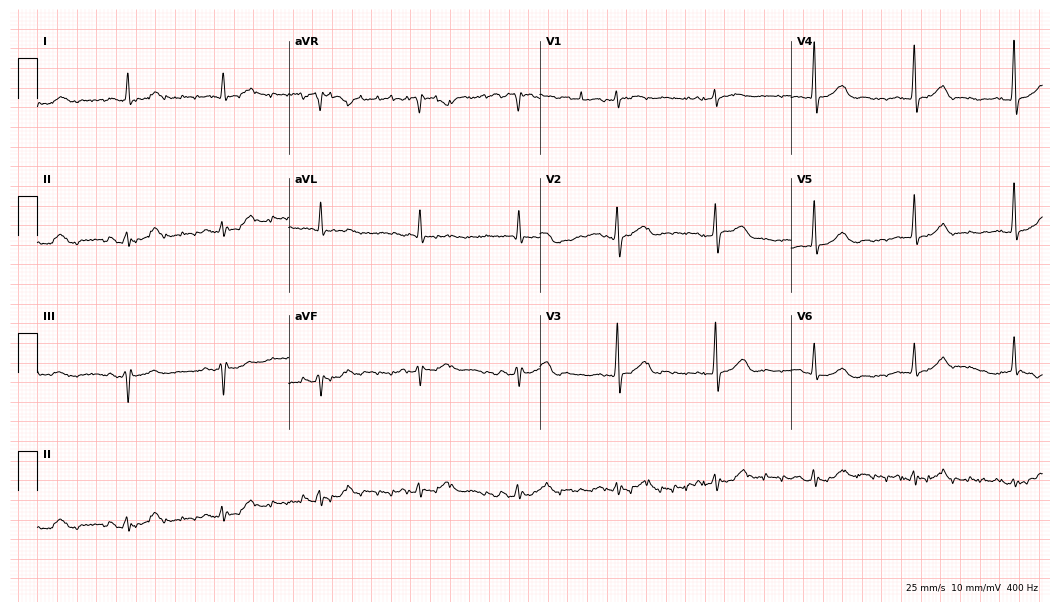
Electrocardiogram (10.2-second recording at 400 Hz), a male, 85 years old. Of the six screened findings (first-degree AV block, right bundle branch block (RBBB), left bundle branch block (LBBB), sinus bradycardia, atrial fibrillation (AF), sinus tachycardia), none is recorded.